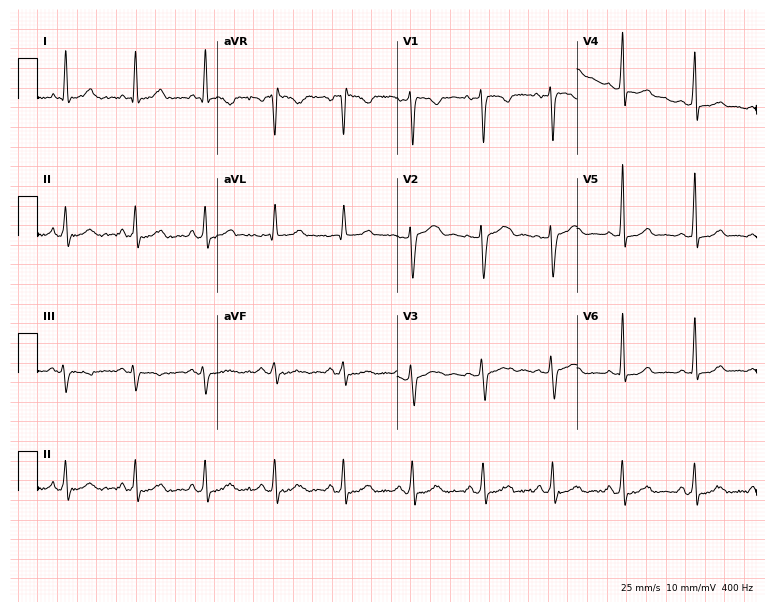
Resting 12-lead electrocardiogram (7.3-second recording at 400 Hz). Patient: a woman, 38 years old. None of these six findings is recorded: first-degree AV block, right bundle branch block (RBBB), left bundle branch block (LBBB), sinus bradycardia, atrial fibrillation (AF), sinus tachycardia.